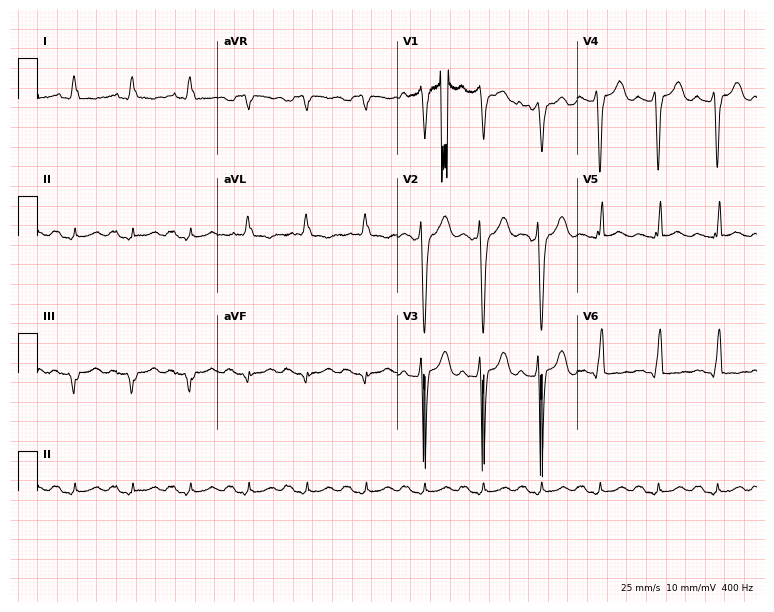
12-lead ECG (7.3-second recording at 400 Hz) from a male patient, 35 years old. Findings include sinus tachycardia (a sinus rate of 100 beats per minute or more).